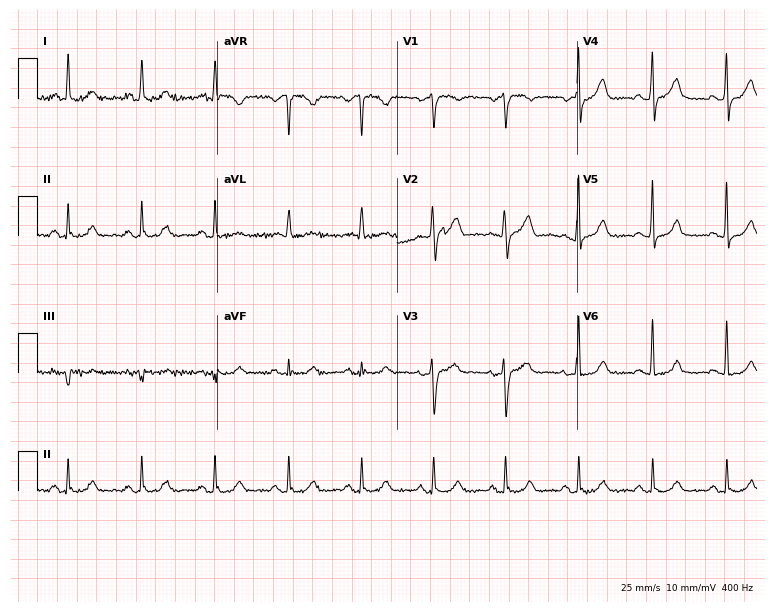
12-lead ECG (7.3-second recording at 400 Hz) from a 62-year-old woman. Labelled as a normal ECG.